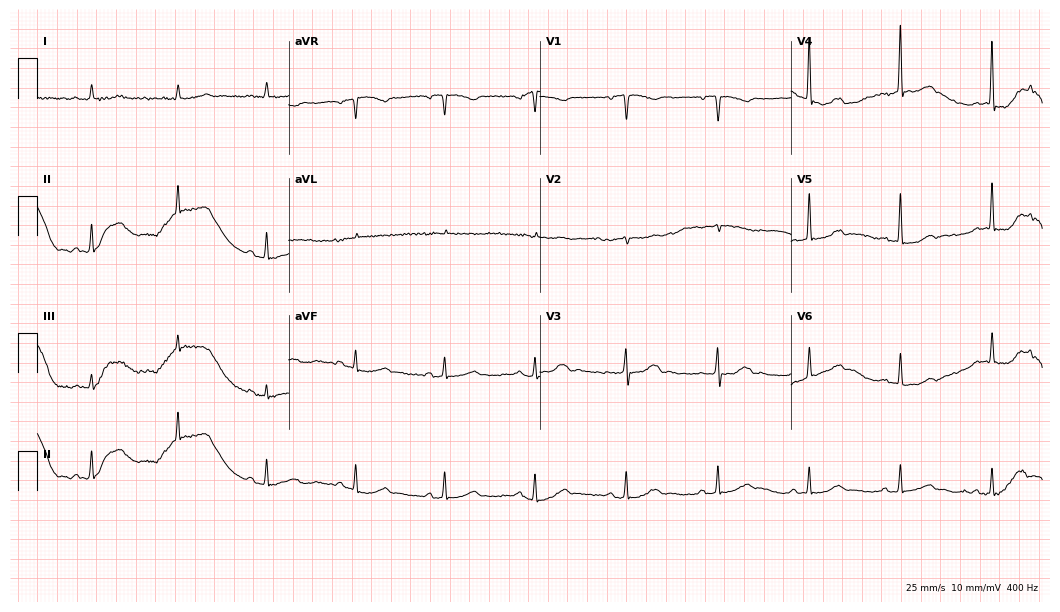
12-lead ECG from a man, 84 years old. Recorded interpretation: within normal limits.